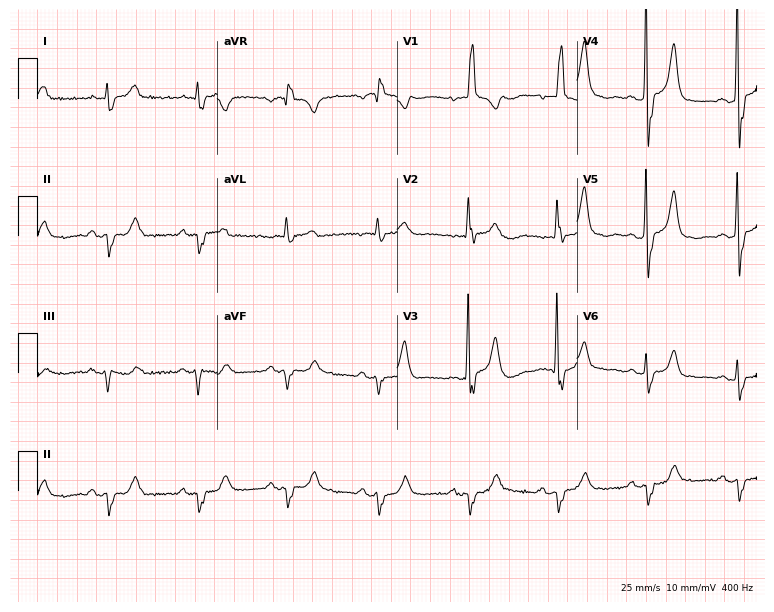
Resting 12-lead electrocardiogram (7.3-second recording at 400 Hz). Patient: a female, 80 years old. The tracing shows right bundle branch block.